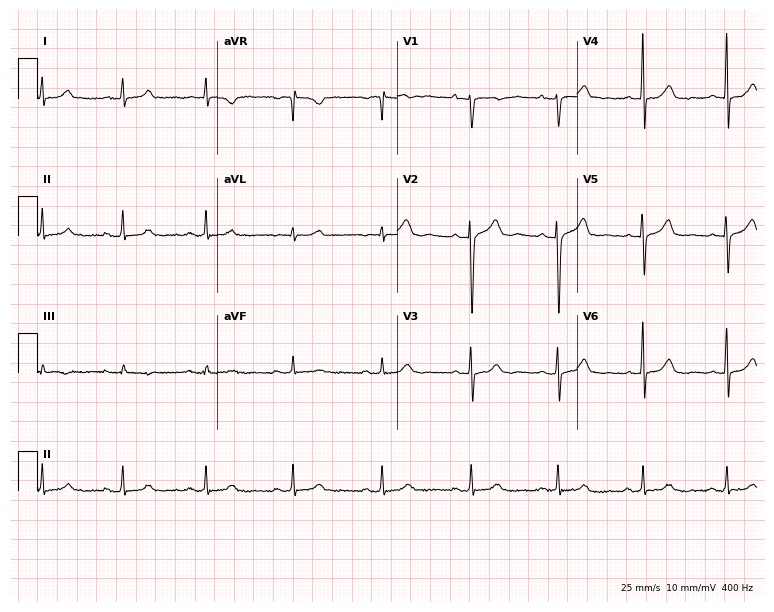
Resting 12-lead electrocardiogram (7.3-second recording at 400 Hz). Patient: a 49-year-old female. Read as a normal ECG.